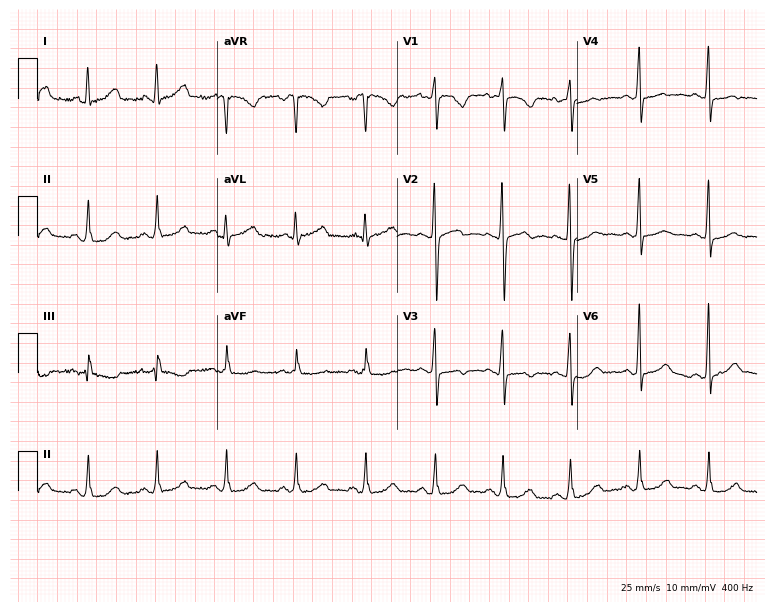
ECG (7.3-second recording at 400 Hz) — a 49-year-old female patient. Labelled as a normal ECG.